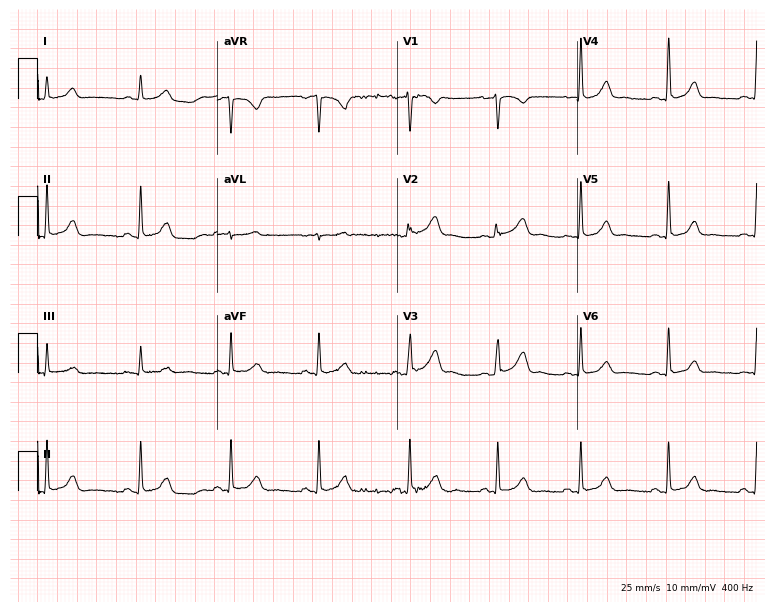
Electrocardiogram, a woman, 41 years old. Overall reading on record: normal ECG.